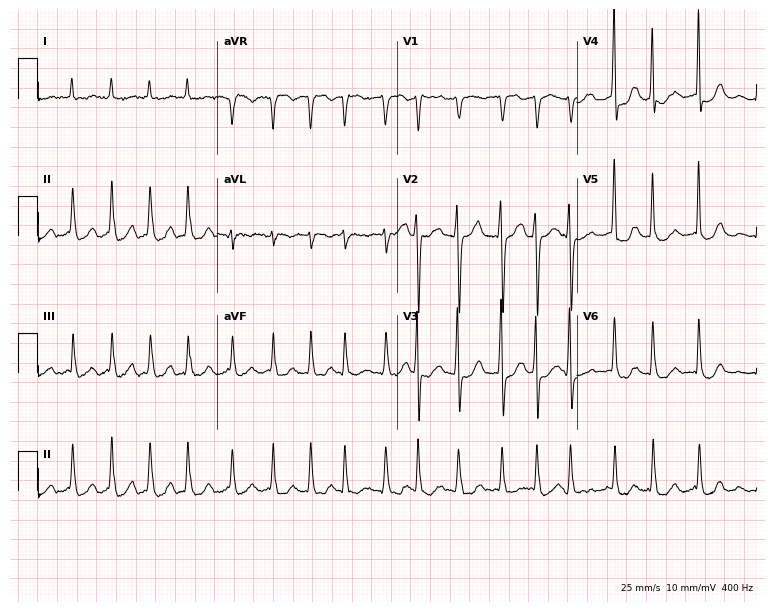
Electrocardiogram (7.3-second recording at 400 Hz), an 83-year-old female. Interpretation includes atrial fibrillation.